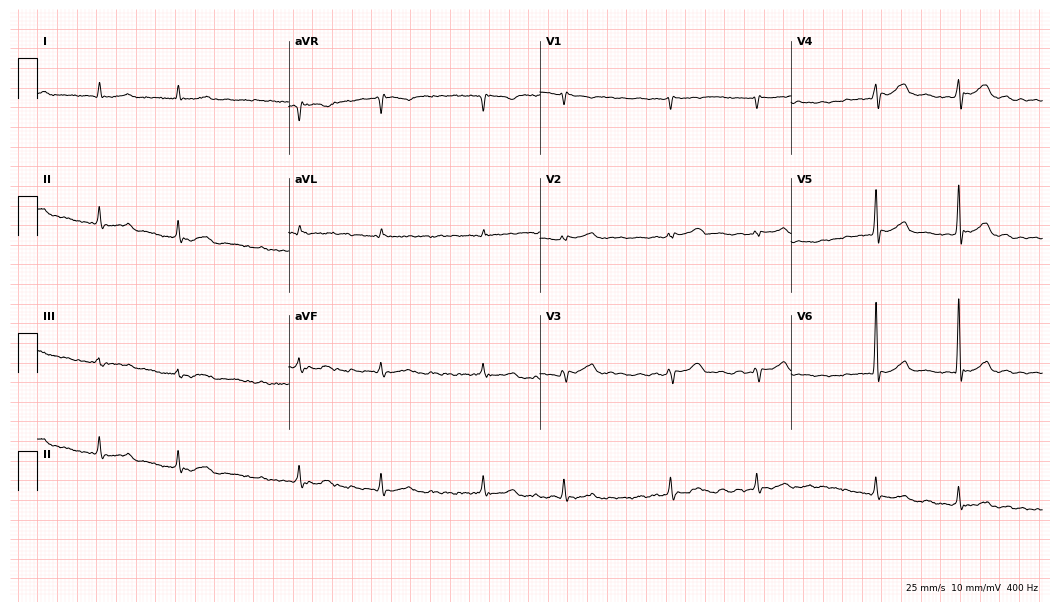
Resting 12-lead electrocardiogram (10.2-second recording at 400 Hz). Patient: a man, 82 years old. The tracing shows atrial fibrillation.